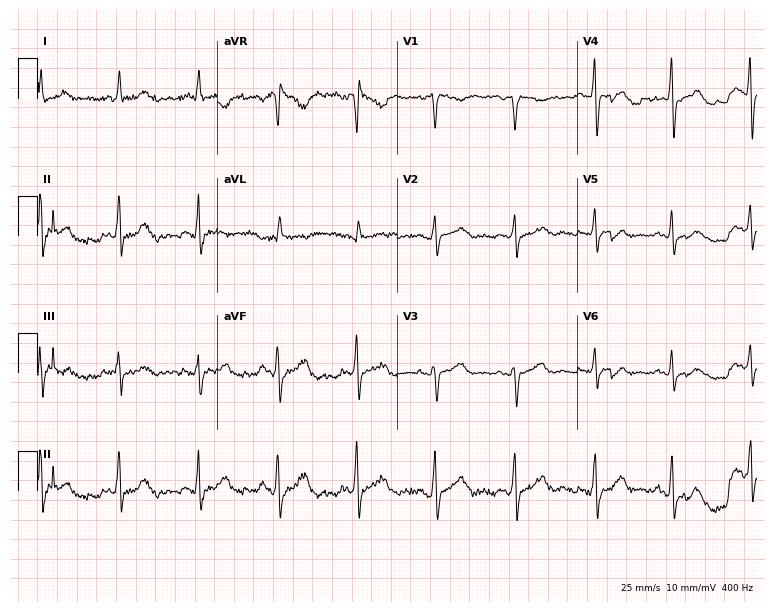
Electrocardiogram (7.3-second recording at 400 Hz), an 82-year-old male patient. Of the six screened findings (first-degree AV block, right bundle branch block (RBBB), left bundle branch block (LBBB), sinus bradycardia, atrial fibrillation (AF), sinus tachycardia), none is recorded.